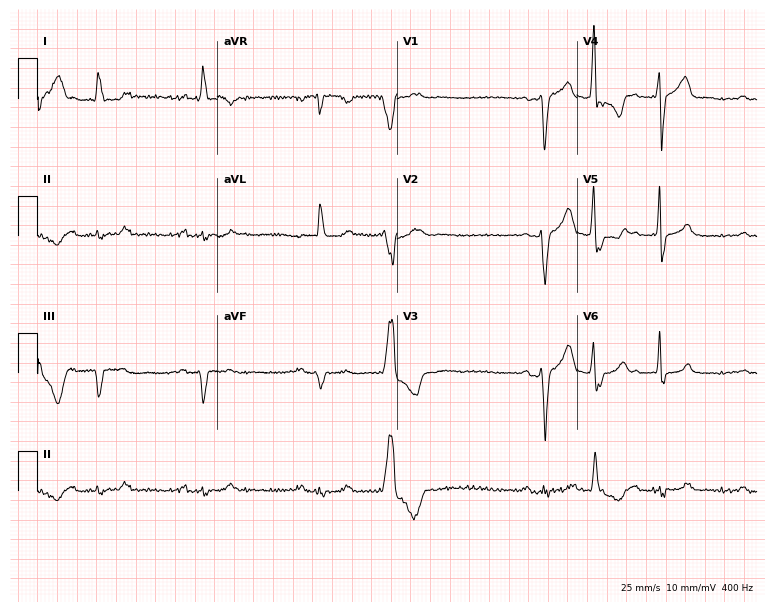
12-lead ECG from a man, 78 years old (7.3-second recording at 400 Hz). No first-degree AV block, right bundle branch block, left bundle branch block, sinus bradycardia, atrial fibrillation or sinus tachycardia recorded for this tracing.